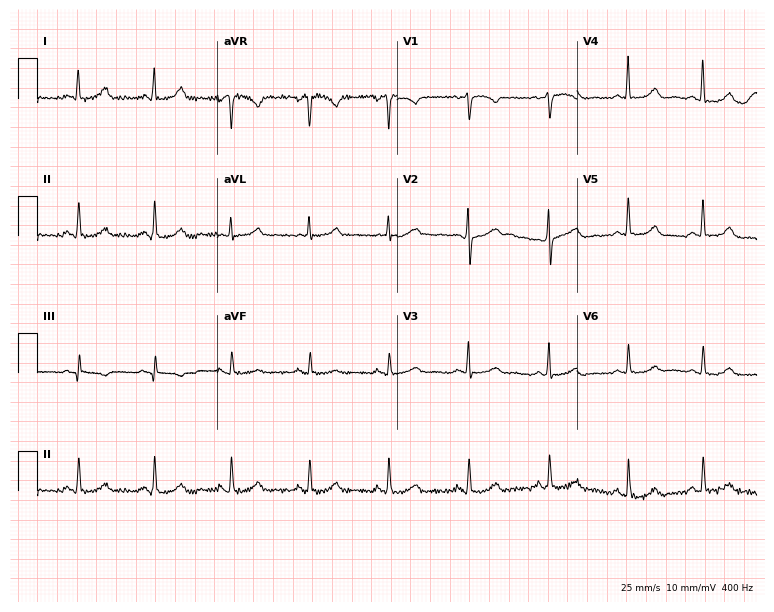
12-lead ECG from a female, 48 years old (7.3-second recording at 400 Hz). No first-degree AV block, right bundle branch block, left bundle branch block, sinus bradycardia, atrial fibrillation or sinus tachycardia recorded for this tracing.